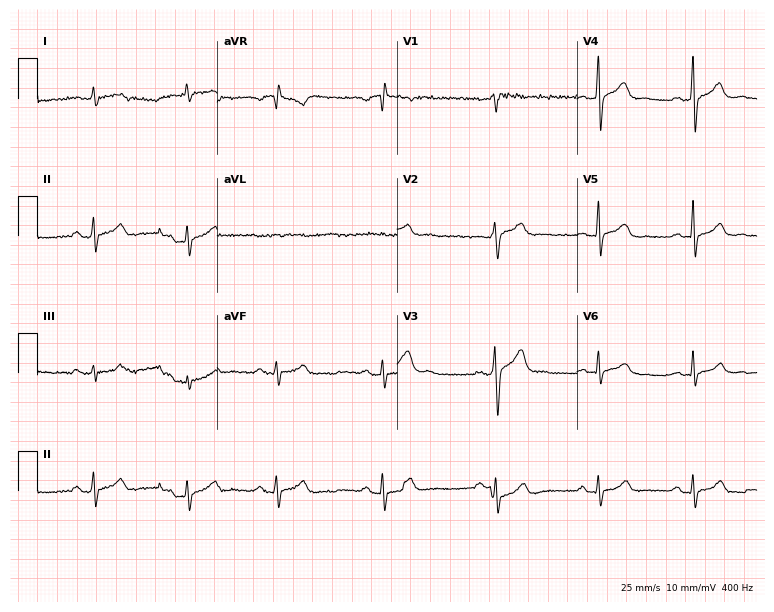
Resting 12-lead electrocardiogram. Patient: a man, 30 years old. Read as a normal ECG.